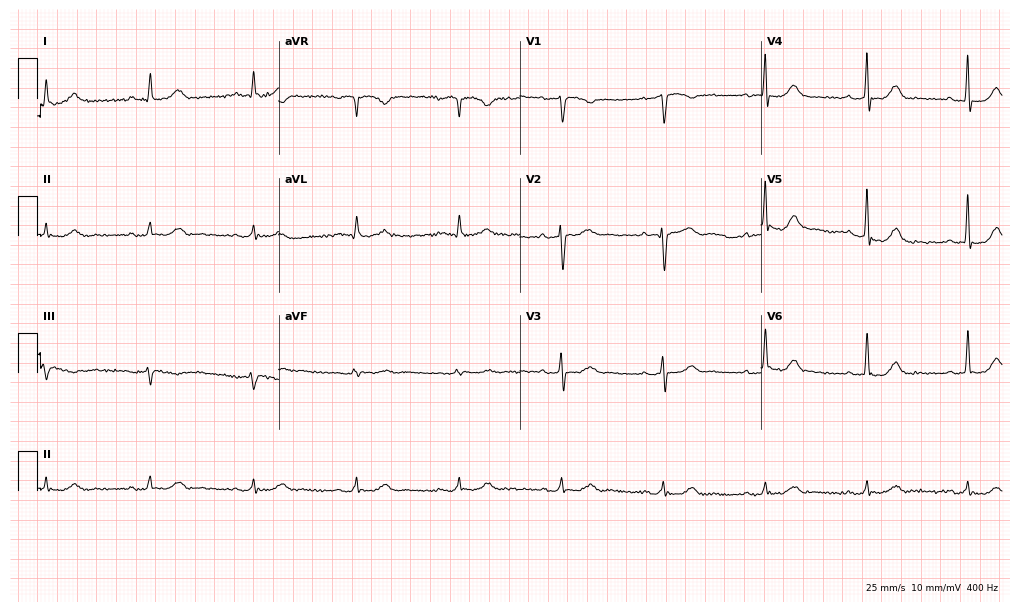
Standard 12-lead ECG recorded from a 62-year-old male patient (9.8-second recording at 400 Hz). None of these six findings is recorded: first-degree AV block, right bundle branch block, left bundle branch block, sinus bradycardia, atrial fibrillation, sinus tachycardia.